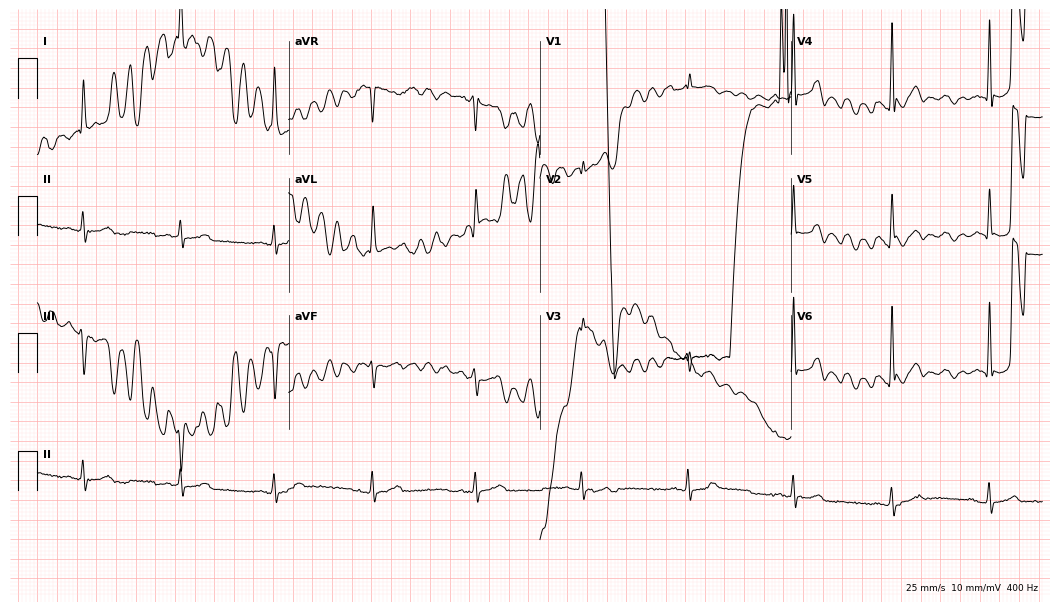
12-lead ECG (10.2-second recording at 400 Hz) from a 49-year-old male patient. Screened for six findings — first-degree AV block, right bundle branch block, left bundle branch block, sinus bradycardia, atrial fibrillation, sinus tachycardia — none is recorded.